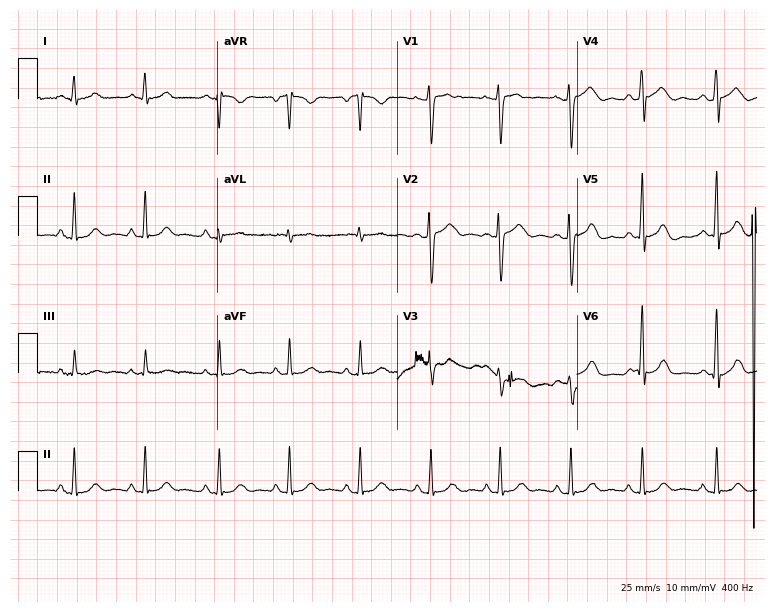
Resting 12-lead electrocardiogram (7.3-second recording at 400 Hz). Patient: a female, 39 years old. Read as a normal ECG.